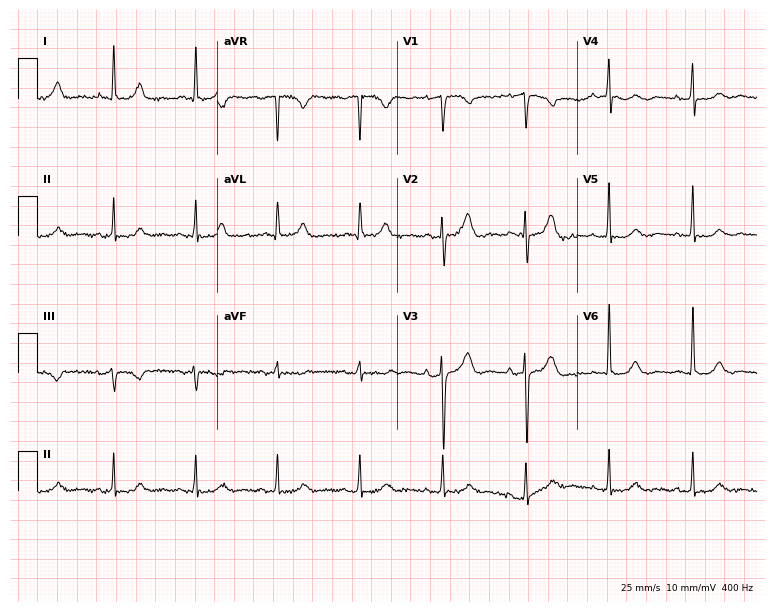
Standard 12-lead ECG recorded from a male patient, 80 years old. Read as a normal ECG.